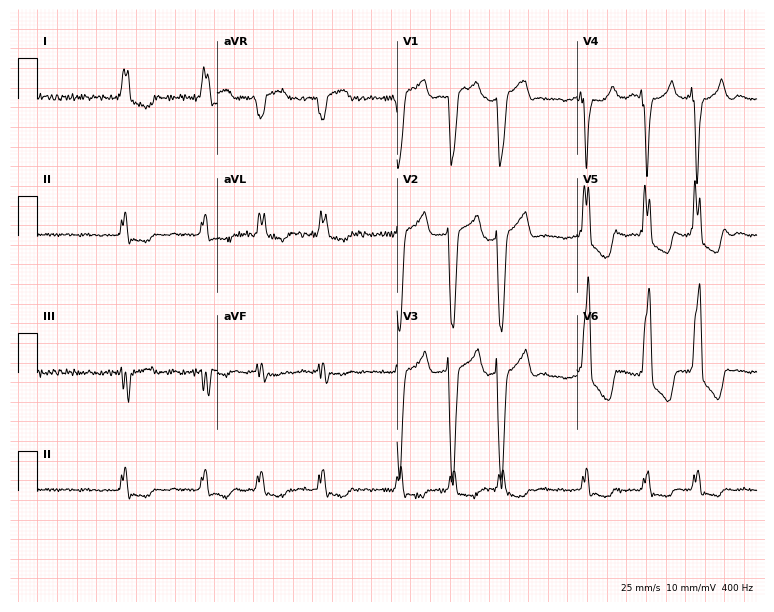
12-lead ECG from an 81-year-old female patient (7.3-second recording at 400 Hz). Shows left bundle branch block, atrial fibrillation.